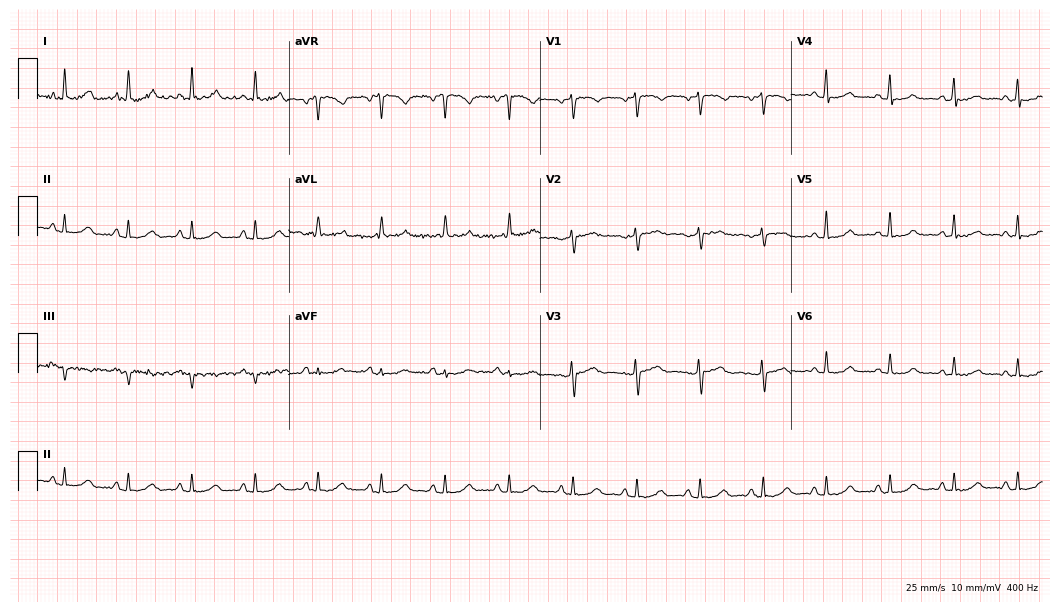
Electrocardiogram (10.2-second recording at 400 Hz), a female patient, 70 years old. Overall reading on record: normal ECG.